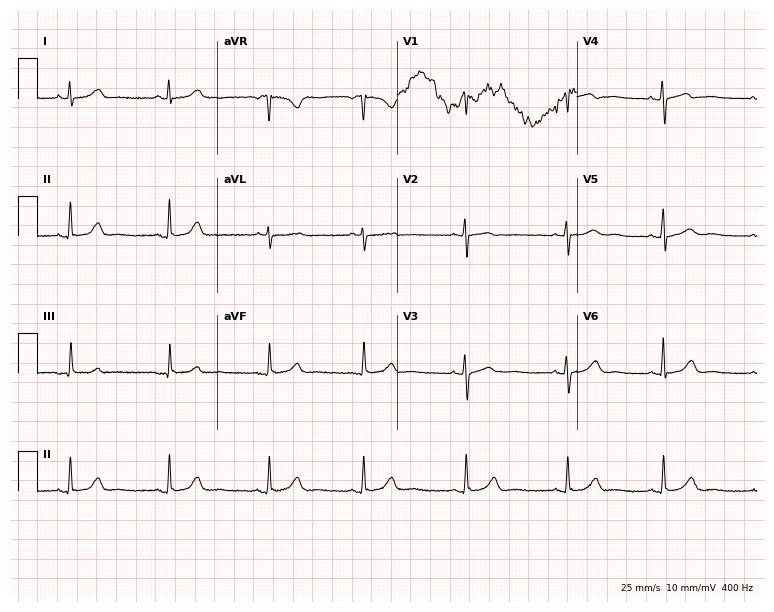
Electrocardiogram, a 55-year-old female. Overall reading on record: normal ECG.